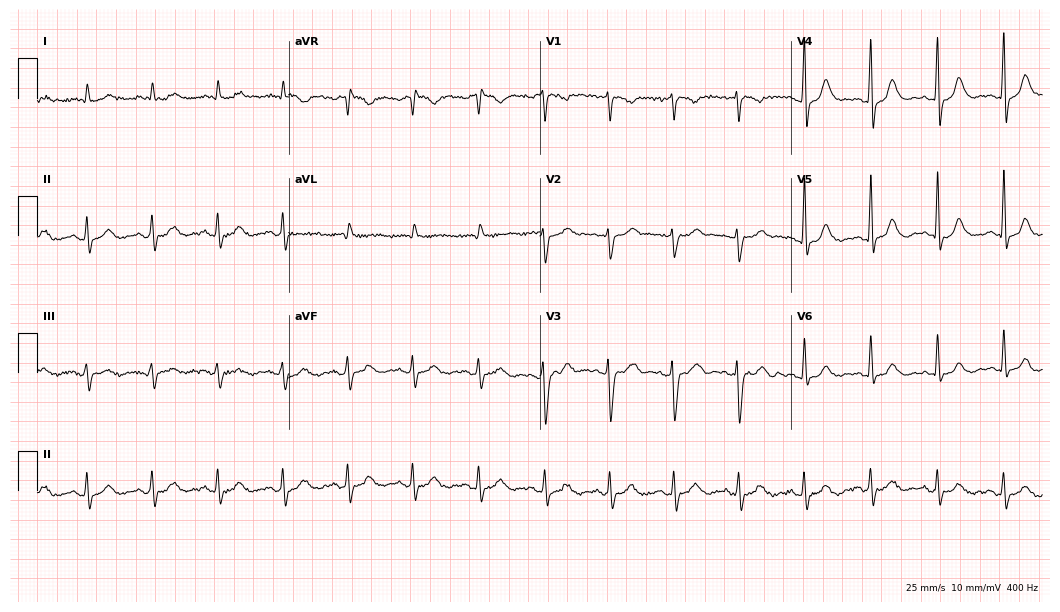
12-lead ECG (10.2-second recording at 400 Hz) from a male patient, 74 years old. Screened for six findings — first-degree AV block, right bundle branch block (RBBB), left bundle branch block (LBBB), sinus bradycardia, atrial fibrillation (AF), sinus tachycardia — none is recorded. Only these six findings were labelled.